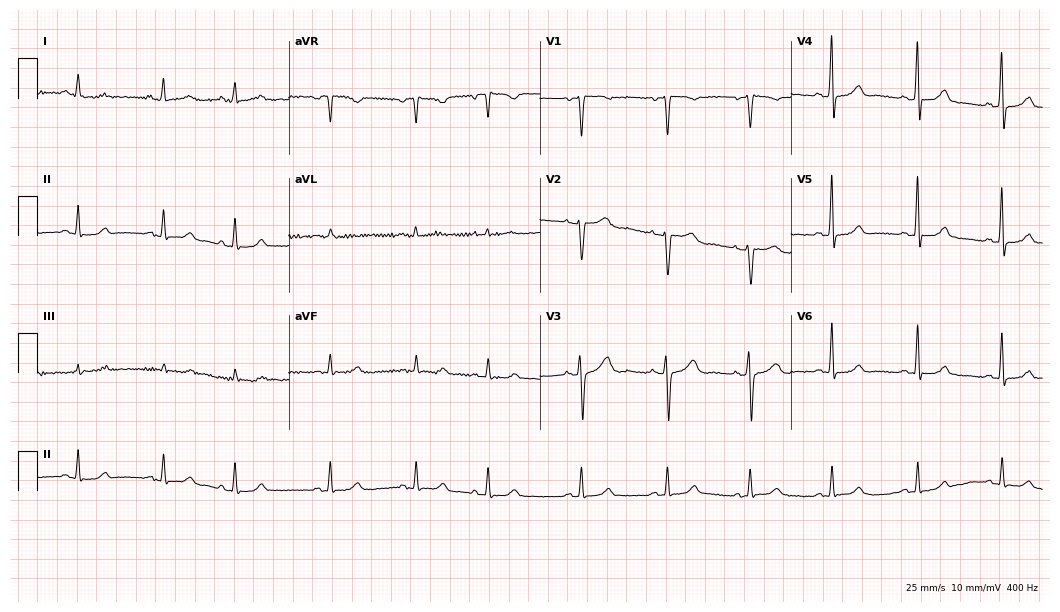
Standard 12-lead ECG recorded from a female, 42 years old. None of these six findings is recorded: first-degree AV block, right bundle branch block, left bundle branch block, sinus bradycardia, atrial fibrillation, sinus tachycardia.